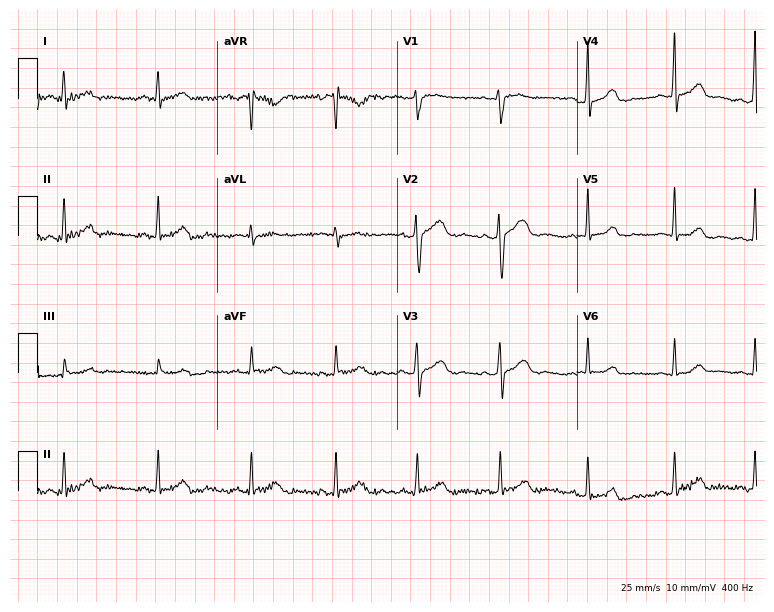
12-lead ECG from a 35-year-old female. Labelled as a normal ECG.